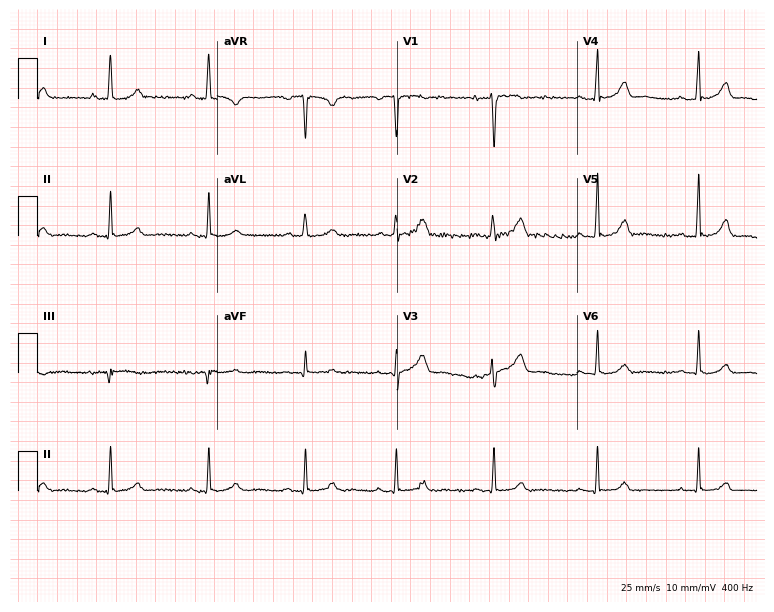
Standard 12-lead ECG recorded from a female patient, 39 years old. None of these six findings is recorded: first-degree AV block, right bundle branch block (RBBB), left bundle branch block (LBBB), sinus bradycardia, atrial fibrillation (AF), sinus tachycardia. Only these six findings were labelled.